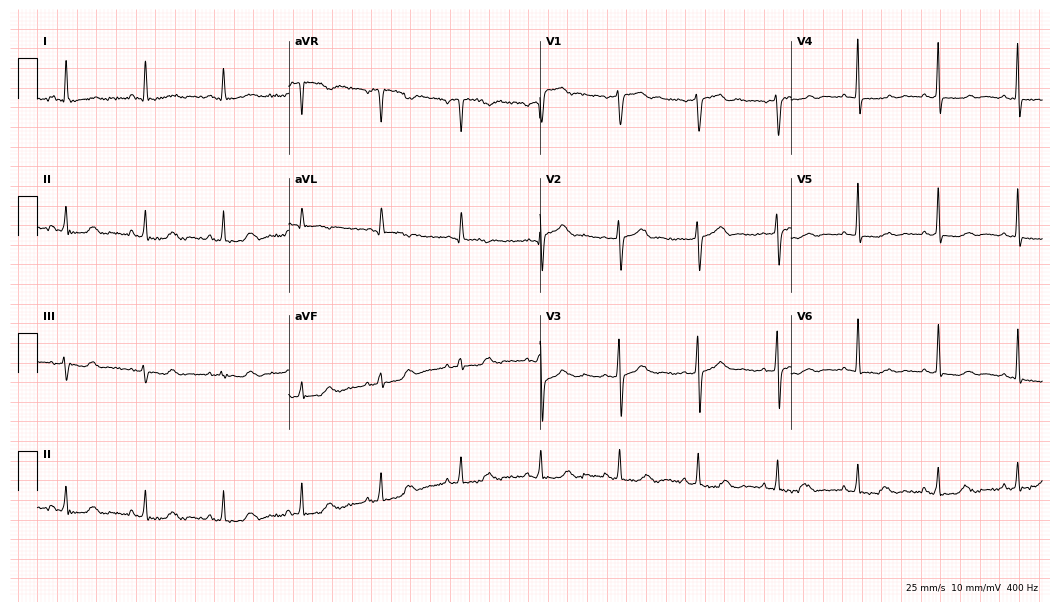
Standard 12-lead ECG recorded from a 71-year-old female (10.2-second recording at 400 Hz). None of these six findings is recorded: first-degree AV block, right bundle branch block (RBBB), left bundle branch block (LBBB), sinus bradycardia, atrial fibrillation (AF), sinus tachycardia. Findings outside these six are not listed.